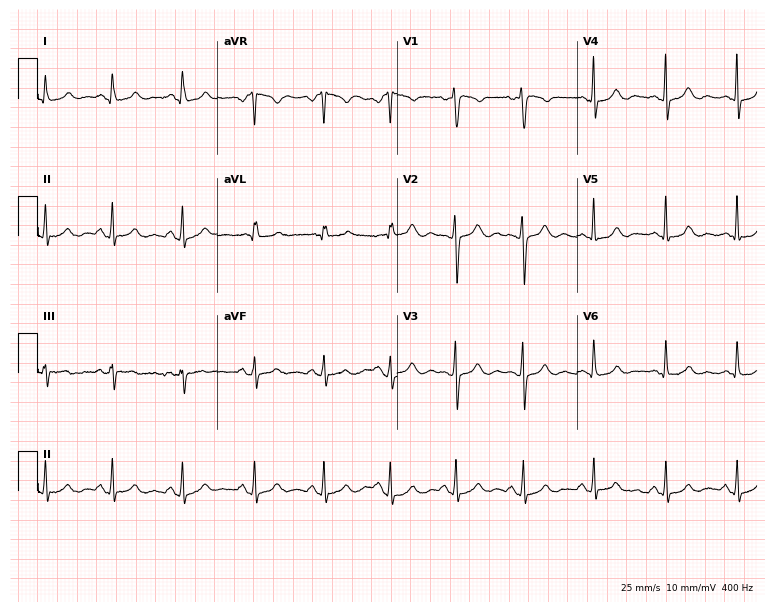
Resting 12-lead electrocardiogram (7.3-second recording at 400 Hz). Patient: a female, 23 years old. Read as a normal ECG.